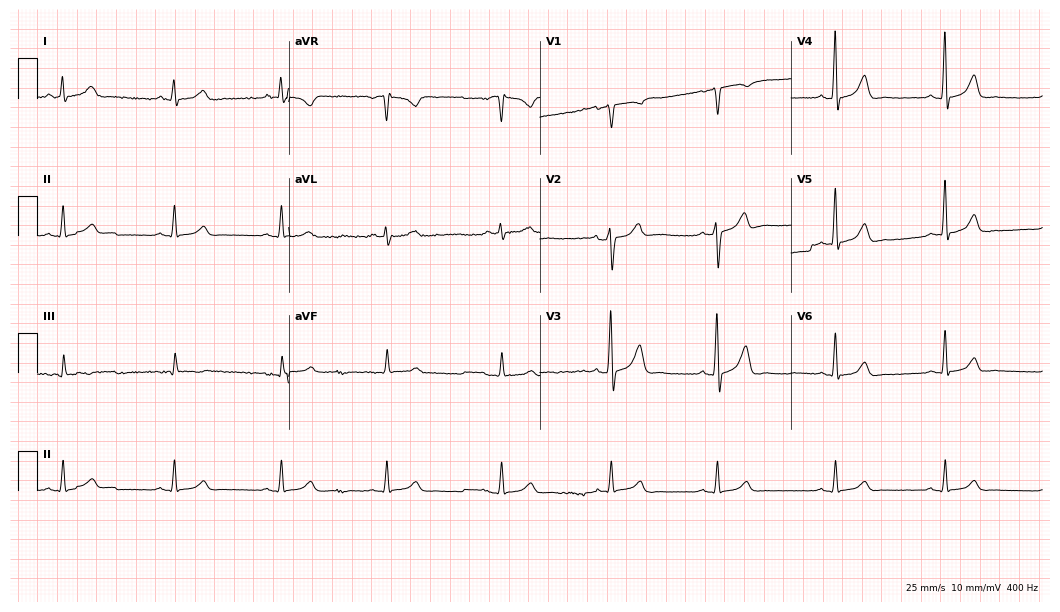
Standard 12-lead ECG recorded from a 45-year-old male (10.2-second recording at 400 Hz). None of these six findings is recorded: first-degree AV block, right bundle branch block (RBBB), left bundle branch block (LBBB), sinus bradycardia, atrial fibrillation (AF), sinus tachycardia.